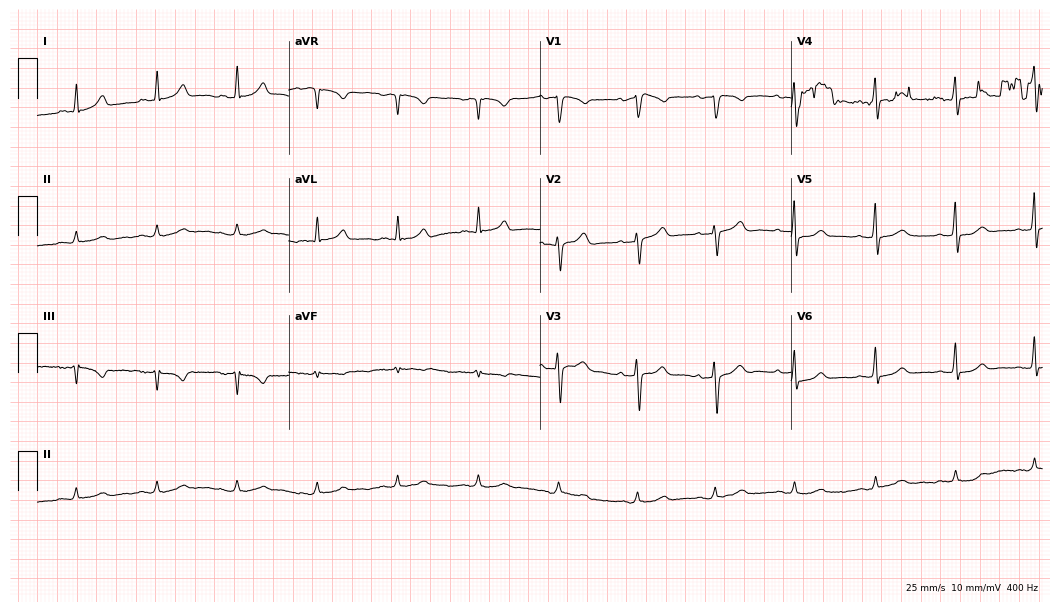
ECG — a female patient, 37 years old. Labelled as a normal ECG.